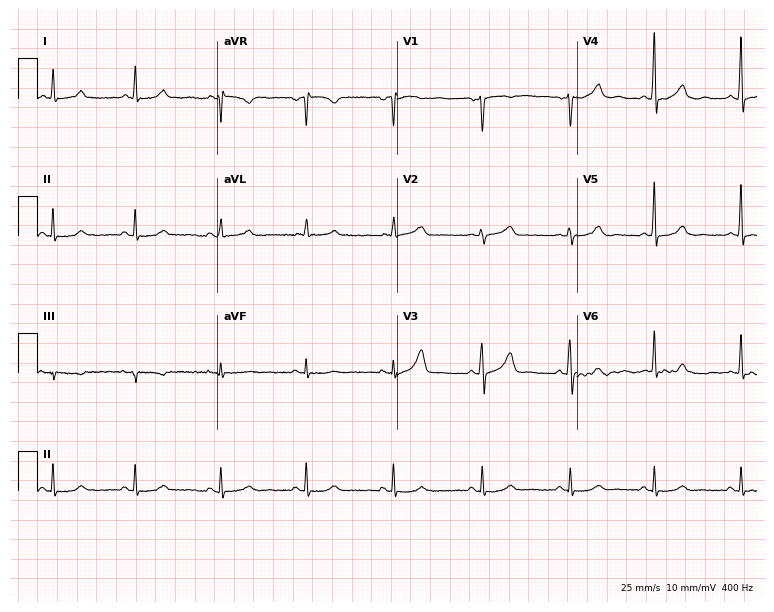
12-lead ECG from a woman, 46 years old (7.3-second recording at 400 Hz). Recorded interpretation: within normal limits.